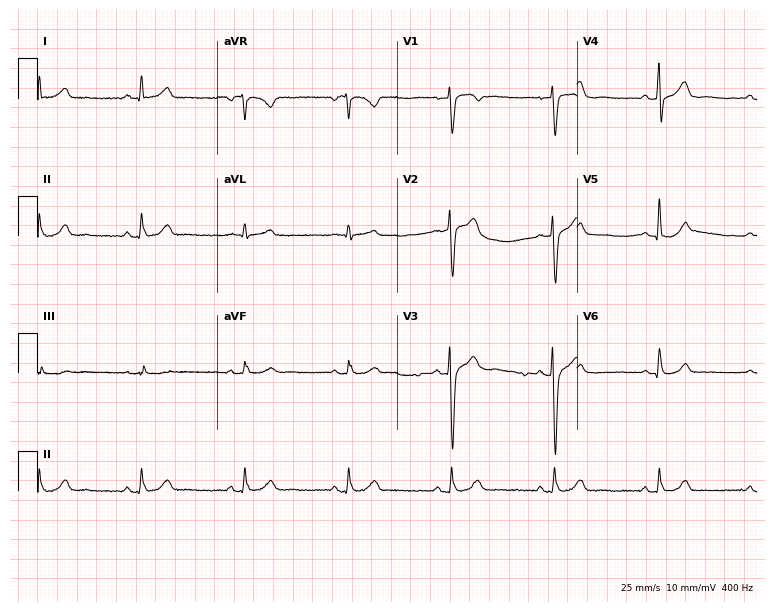
12-lead ECG from a male, 60 years old (7.3-second recording at 400 Hz). Shows sinus bradycardia (a sinus rate of 50 beats per minute or less).